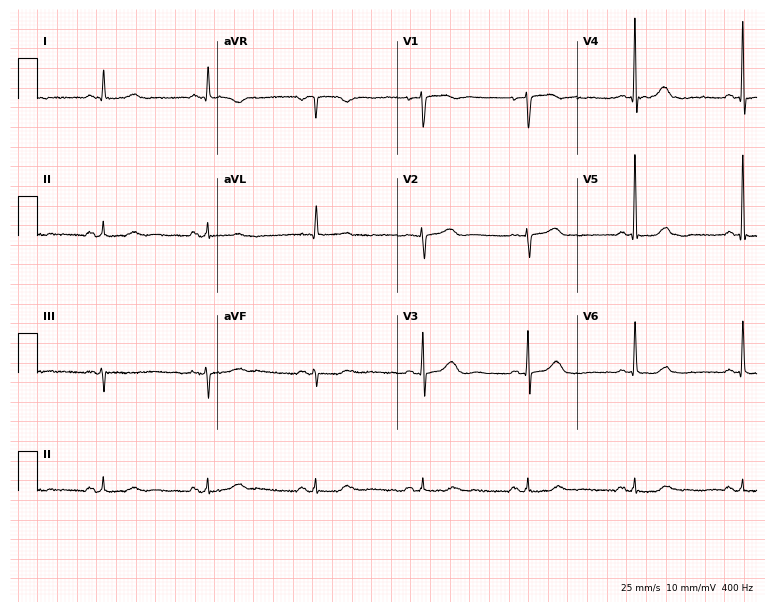
Electrocardiogram (7.3-second recording at 400 Hz), a 60-year-old female patient. Of the six screened findings (first-degree AV block, right bundle branch block (RBBB), left bundle branch block (LBBB), sinus bradycardia, atrial fibrillation (AF), sinus tachycardia), none is recorded. Findings outside these six are not listed.